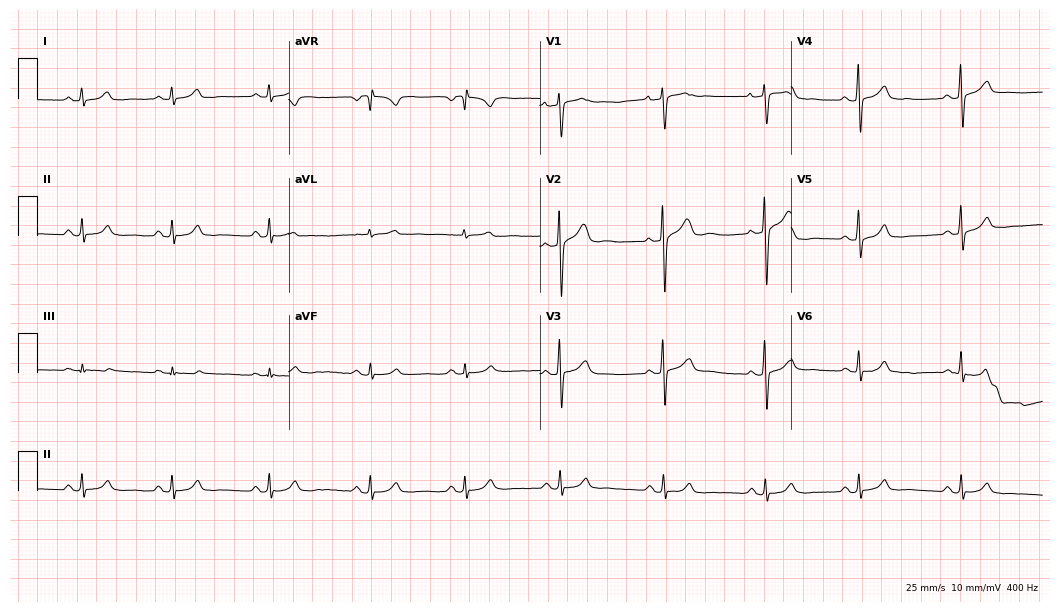
Resting 12-lead electrocardiogram. Patient: a man, 22 years old. Read as a normal ECG.